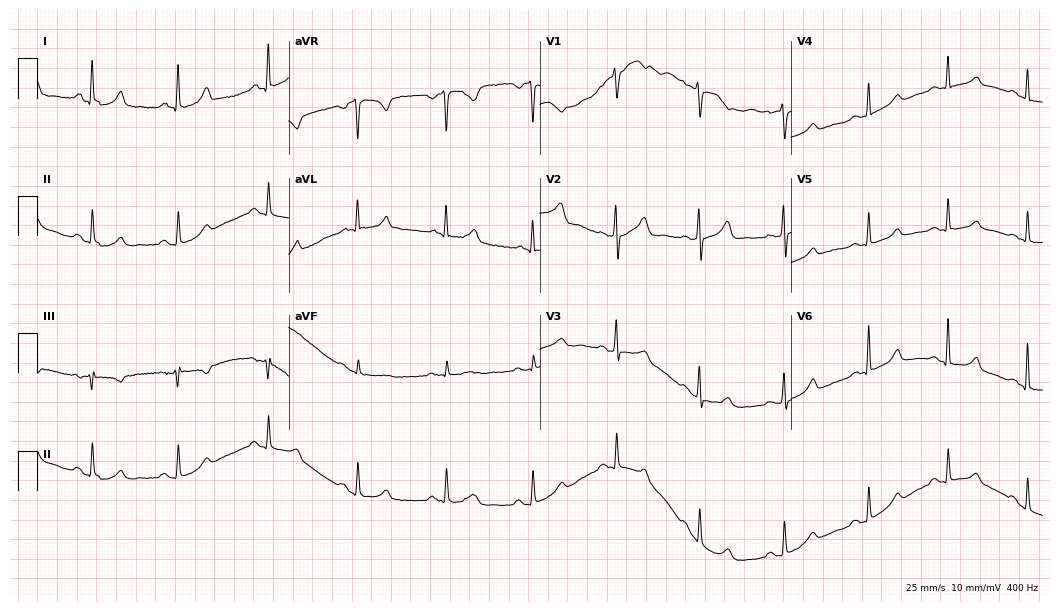
Electrocardiogram, a 56-year-old female. Of the six screened findings (first-degree AV block, right bundle branch block, left bundle branch block, sinus bradycardia, atrial fibrillation, sinus tachycardia), none is recorded. Other findings, if any, are not listed.